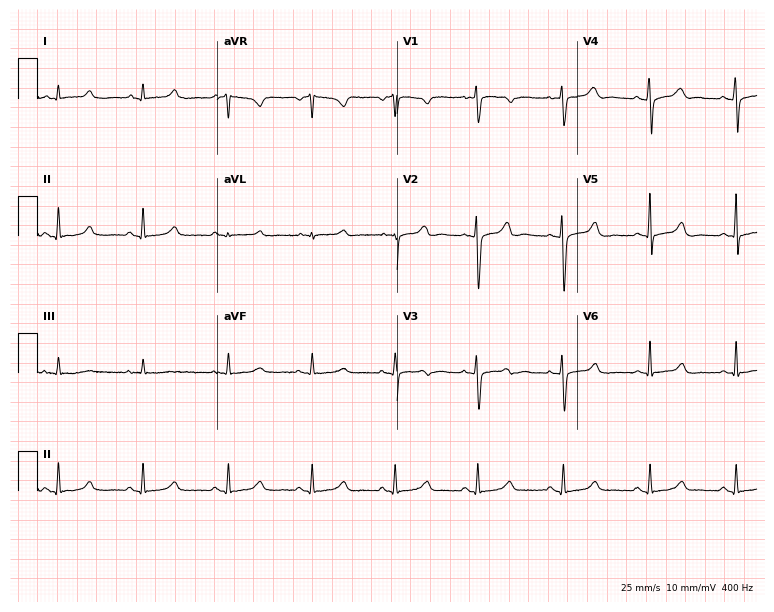
ECG (7.3-second recording at 400 Hz) — a woman, 17 years old. Labelled as a normal ECG.